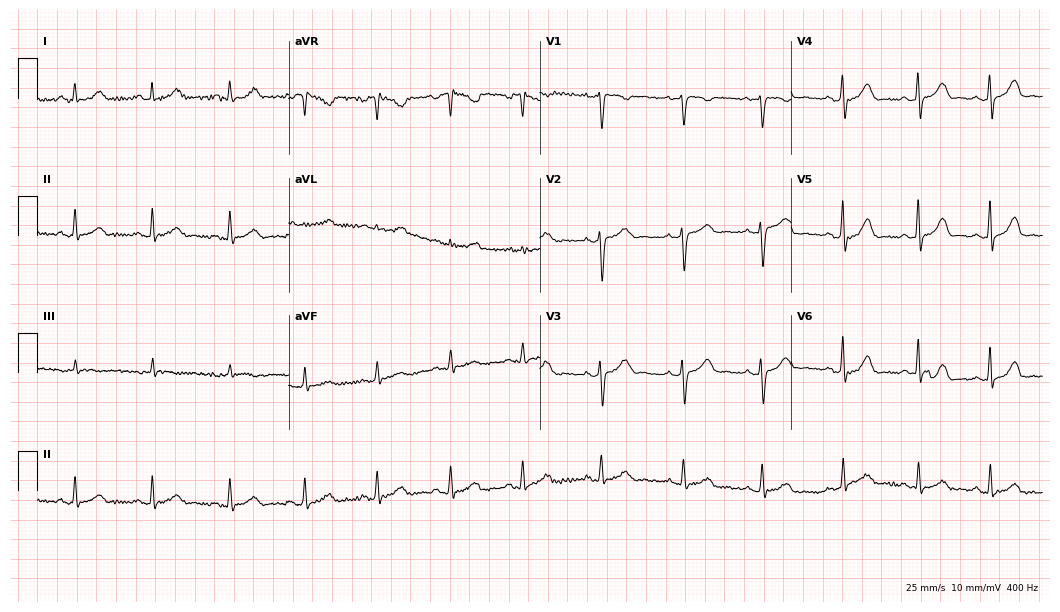
Resting 12-lead electrocardiogram (10.2-second recording at 400 Hz). Patient: a woman, 25 years old. None of these six findings is recorded: first-degree AV block, right bundle branch block, left bundle branch block, sinus bradycardia, atrial fibrillation, sinus tachycardia. Findings outside these six are not listed.